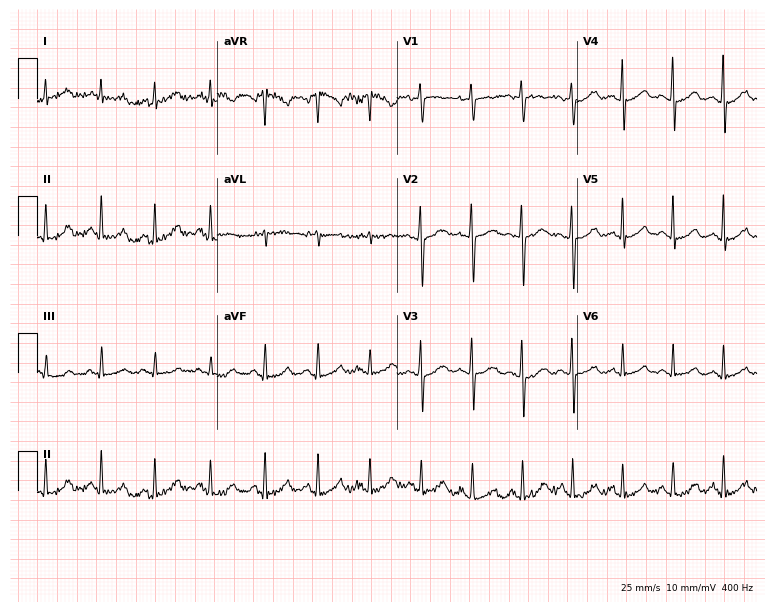
Electrocardiogram, a female patient, 41 years old. Of the six screened findings (first-degree AV block, right bundle branch block (RBBB), left bundle branch block (LBBB), sinus bradycardia, atrial fibrillation (AF), sinus tachycardia), none is recorded. Findings outside these six are not listed.